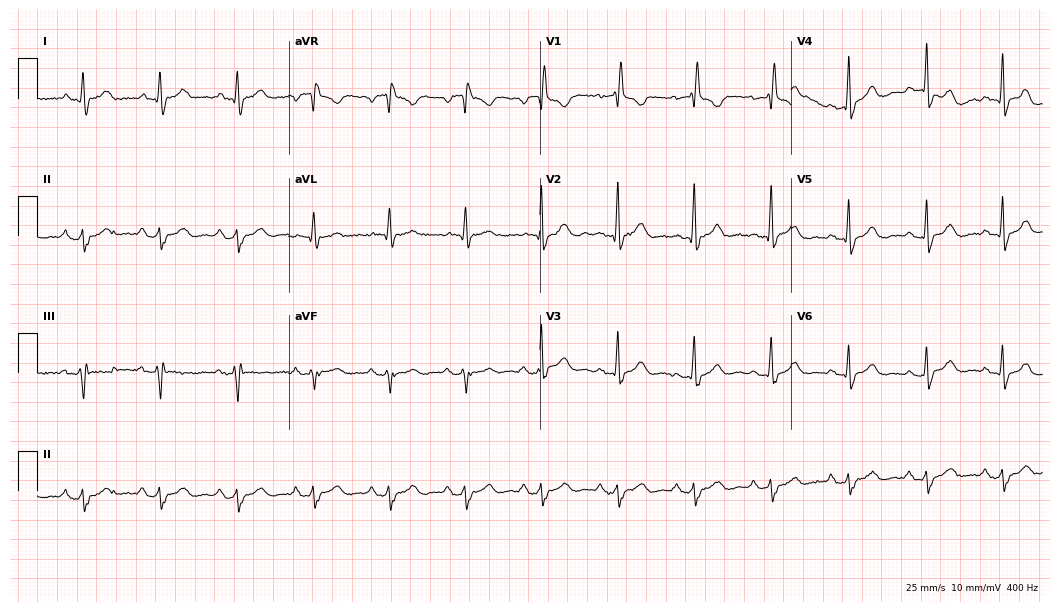
Resting 12-lead electrocardiogram (10.2-second recording at 400 Hz). Patient: a 72-year-old male. The tracing shows right bundle branch block (RBBB).